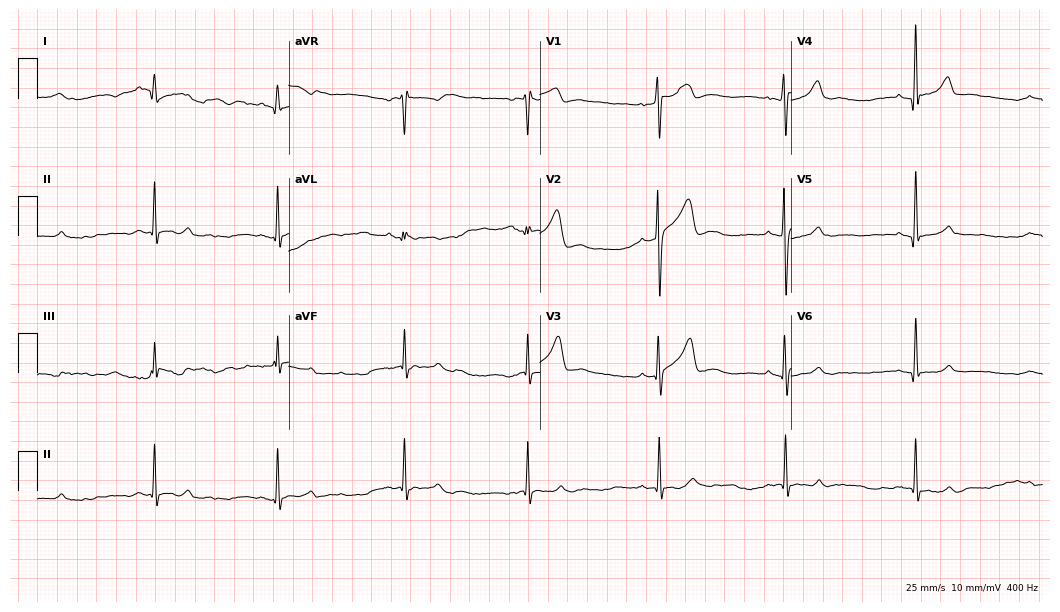
ECG (10.2-second recording at 400 Hz) — a 41-year-old man. Findings include sinus bradycardia (a sinus rate of 50 beats per minute or less).